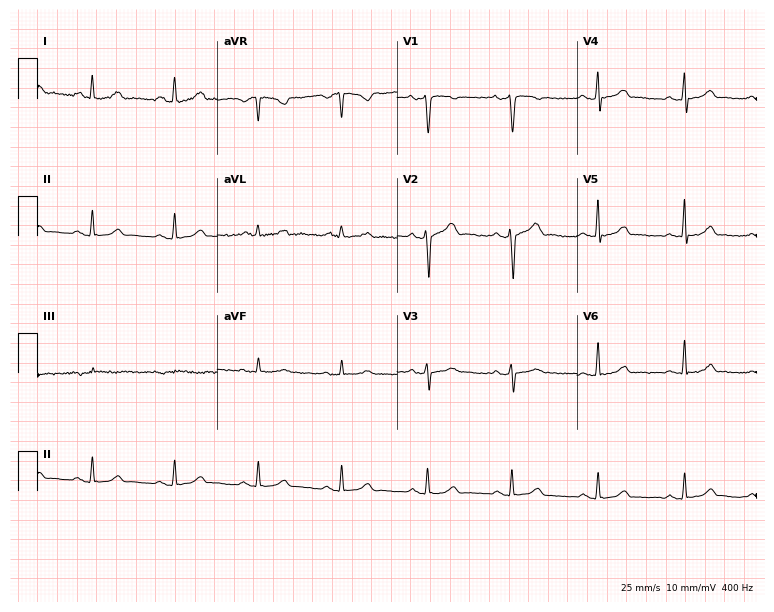
12-lead ECG from a 36-year-old male patient (7.3-second recording at 400 Hz). No first-degree AV block, right bundle branch block (RBBB), left bundle branch block (LBBB), sinus bradycardia, atrial fibrillation (AF) or sinus tachycardia recorded for this tracing. Findings outside these six are not listed.